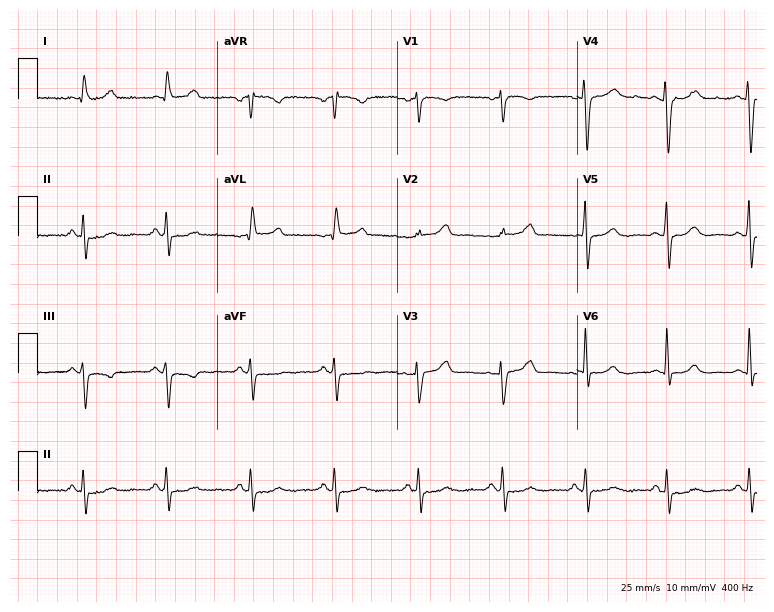
12-lead ECG from a female, 72 years old (7.3-second recording at 400 Hz). No first-degree AV block, right bundle branch block, left bundle branch block, sinus bradycardia, atrial fibrillation or sinus tachycardia recorded for this tracing.